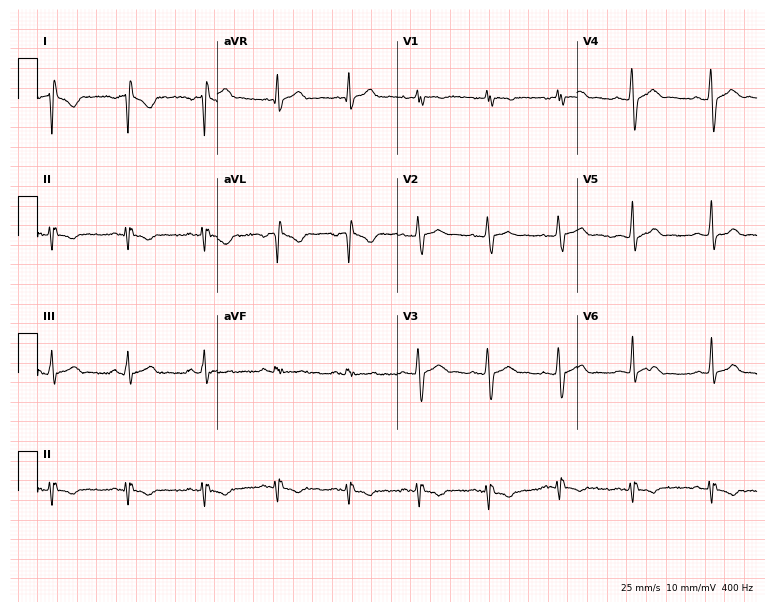
Resting 12-lead electrocardiogram. Patient: a 28-year-old male. Read as a normal ECG.